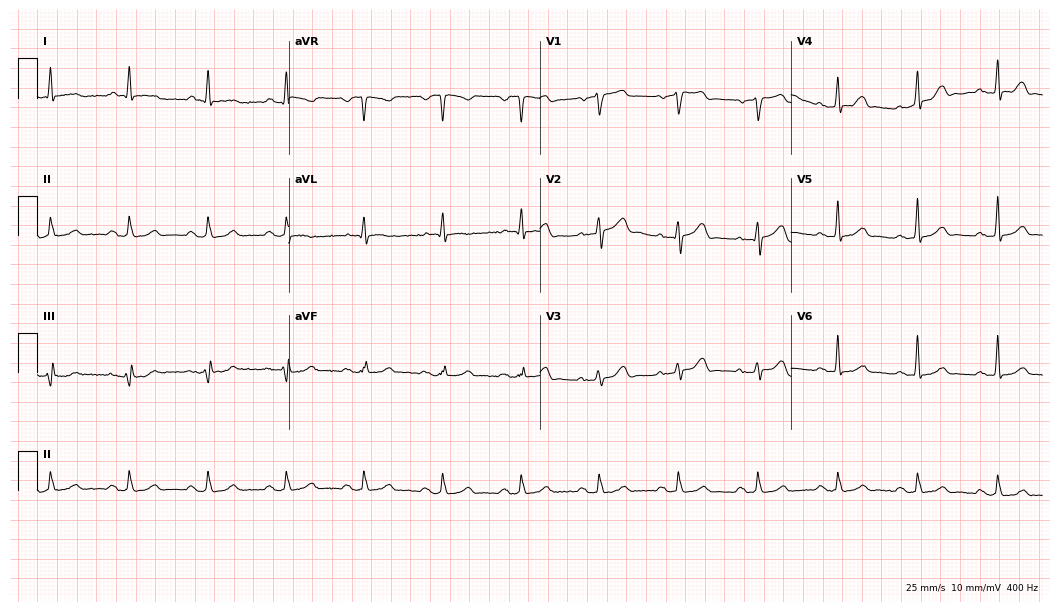
Electrocardiogram, a male patient, 67 years old. Overall reading on record: normal ECG.